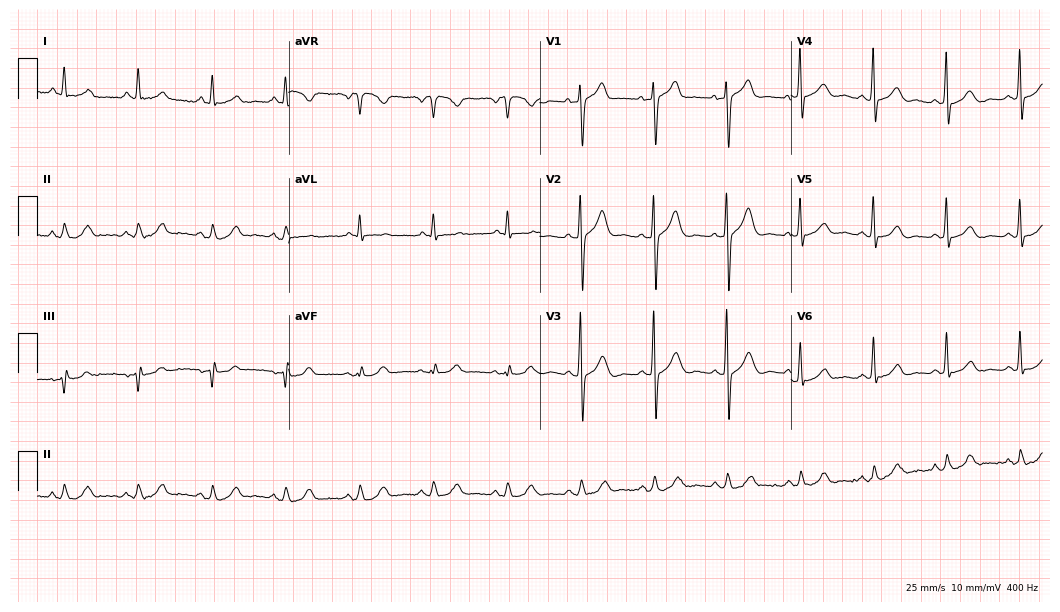
Resting 12-lead electrocardiogram. Patient: a 78-year-old man. Read as a normal ECG.